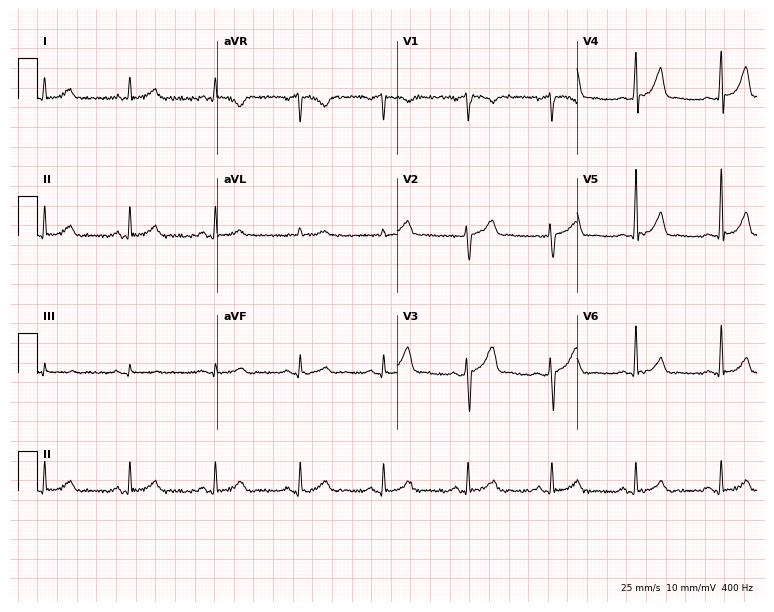
Resting 12-lead electrocardiogram (7.3-second recording at 400 Hz). Patient: a male, 64 years old. Read as a normal ECG.